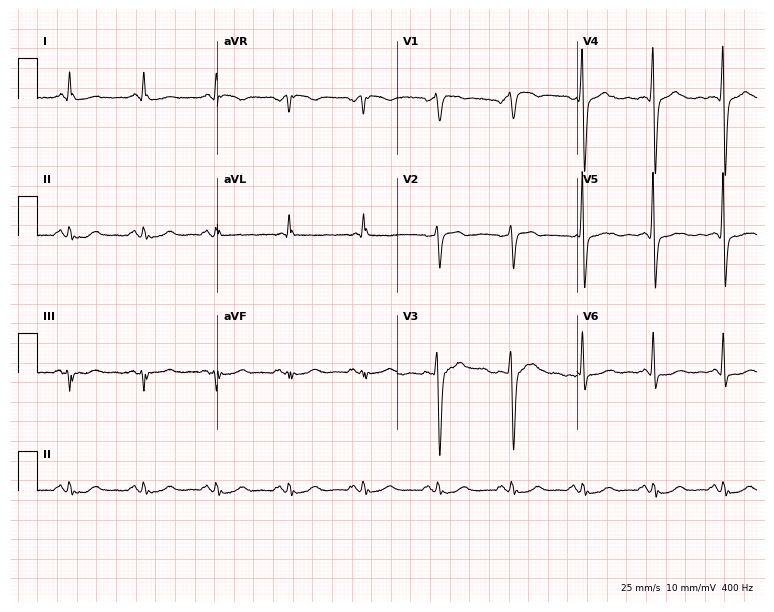
Resting 12-lead electrocardiogram (7.3-second recording at 400 Hz). Patient: a female, 49 years old. Read as a normal ECG.